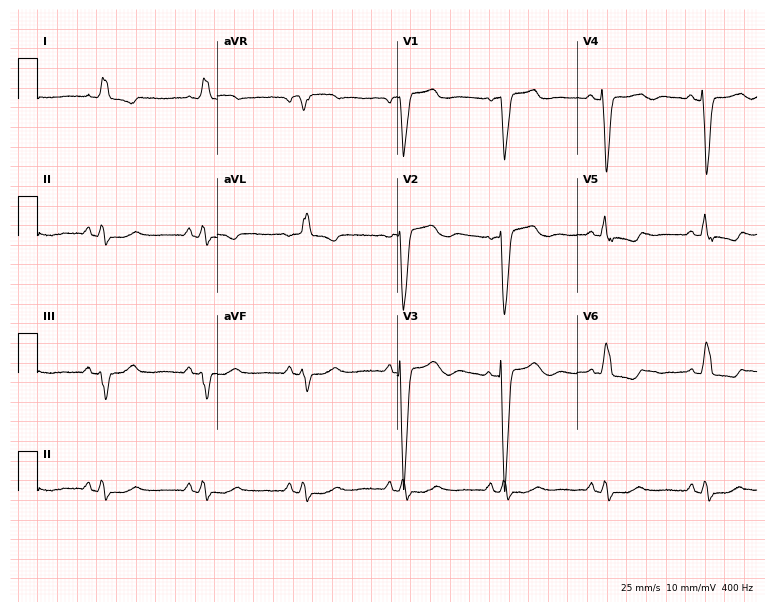
12-lead ECG from a 74-year-old female patient. Findings include left bundle branch block (LBBB).